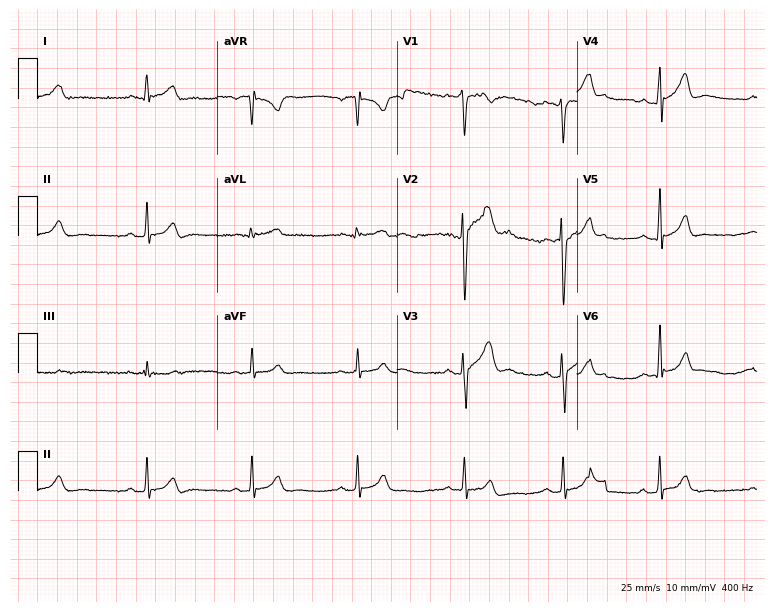
Standard 12-lead ECG recorded from a male, 30 years old. Read as a normal ECG.